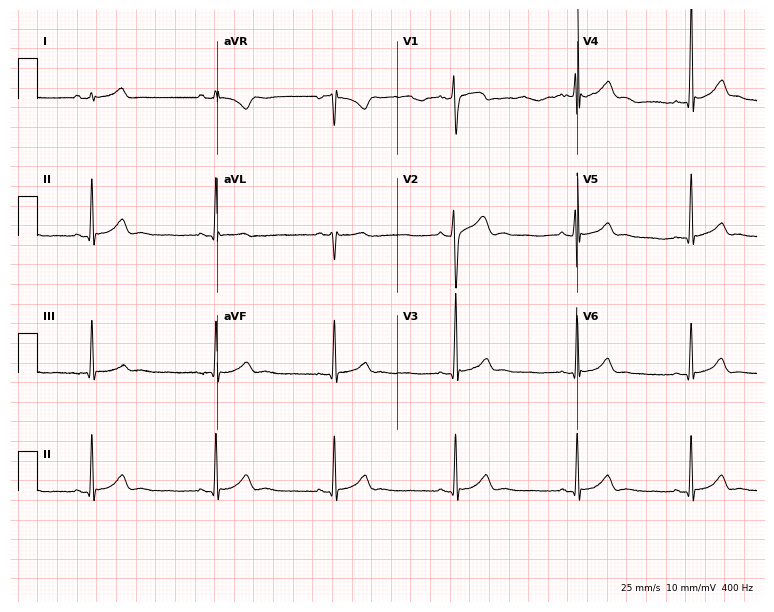
12-lead ECG from a 17-year-old male. Labelled as a normal ECG.